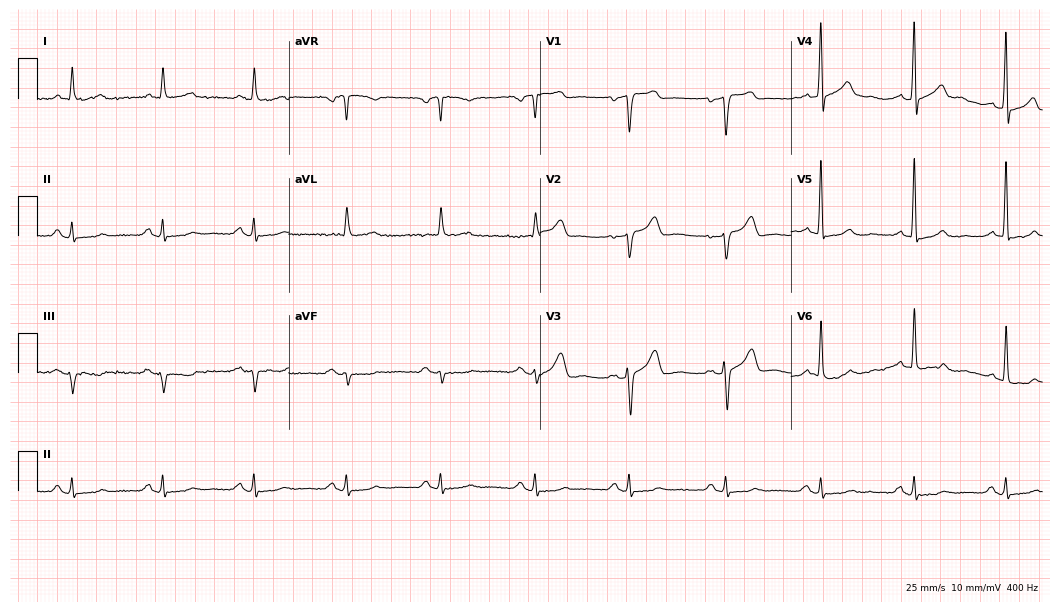
Standard 12-lead ECG recorded from a 64-year-old man. Read as a normal ECG.